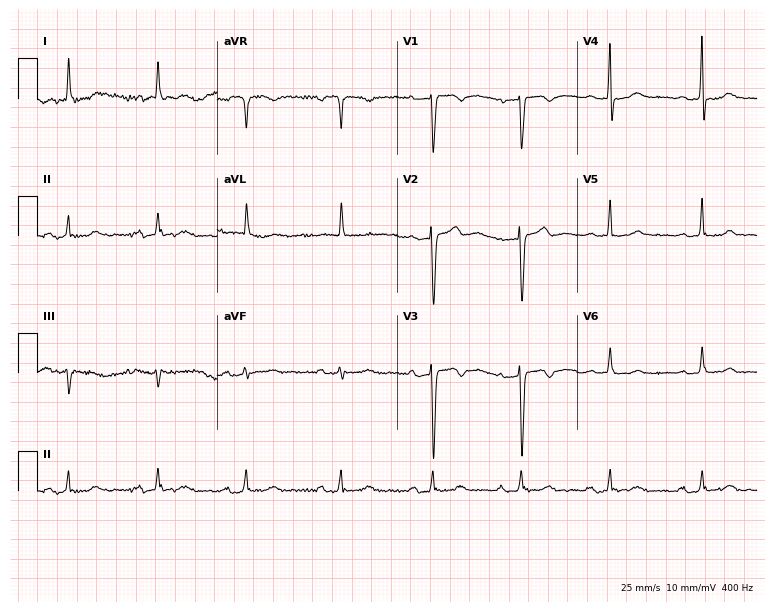
12-lead ECG (7.3-second recording at 400 Hz) from a female, 77 years old. Findings include first-degree AV block.